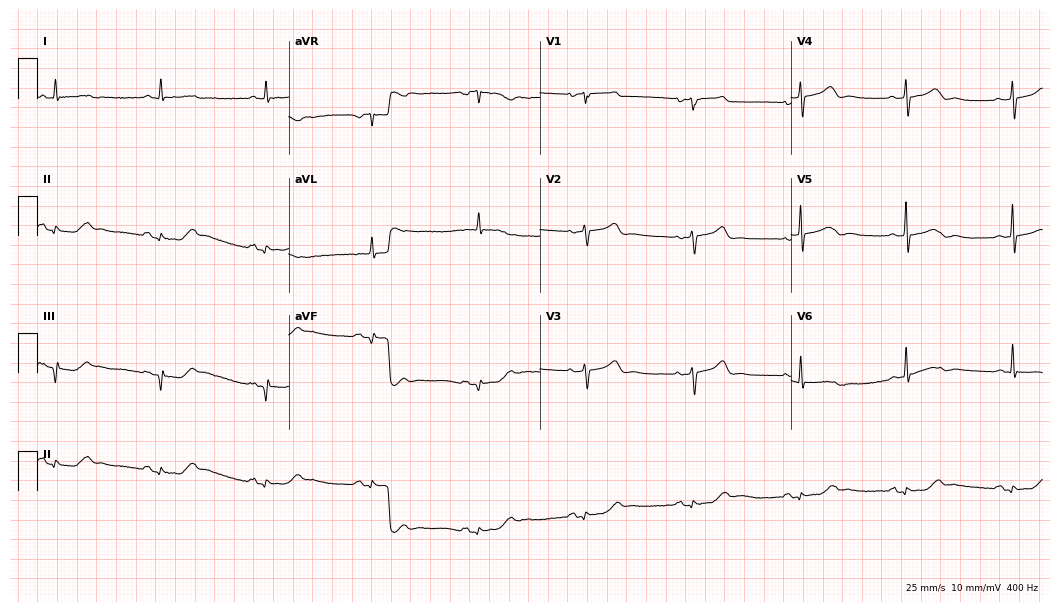
Electrocardiogram (10.2-second recording at 400 Hz), an 80-year-old female. Of the six screened findings (first-degree AV block, right bundle branch block, left bundle branch block, sinus bradycardia, atrial fibrillation, sinus tachycardia), none is recorded. Findings outside these six are not listed.